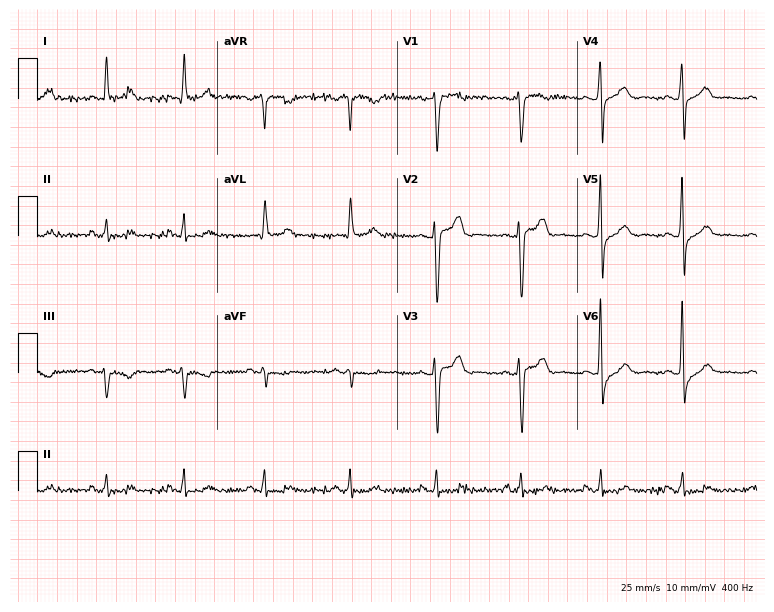
Electrocardiogram (7.3-second recording at 400 Hz), a 52-year-old man. Of the six screened findings (first-degree AV block, right bundle branch block, left bundle branch block, sinus bradycardia, atrial fibrillation, sinus tachycardia), none is recorded. Other findings, if any, are not listed.